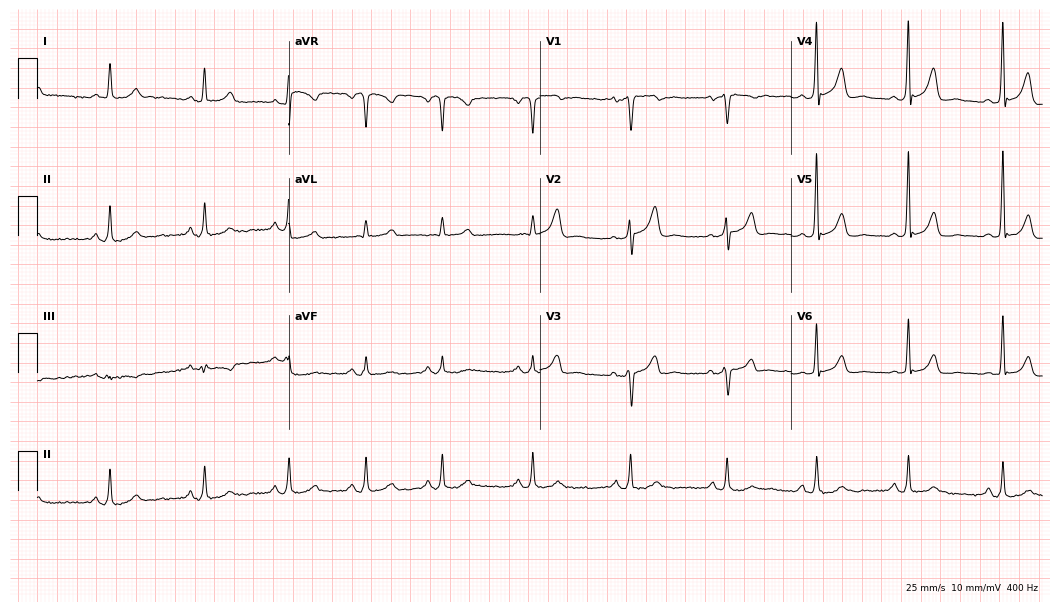
Electrocardiogram, a male patient, 45 years old. Of the six screened findings (first-degree AV block, right bundle branch block, left bundle branch block, sinus bradycardia, atrial fibrillation, sinus tachycardia), none is recorded.